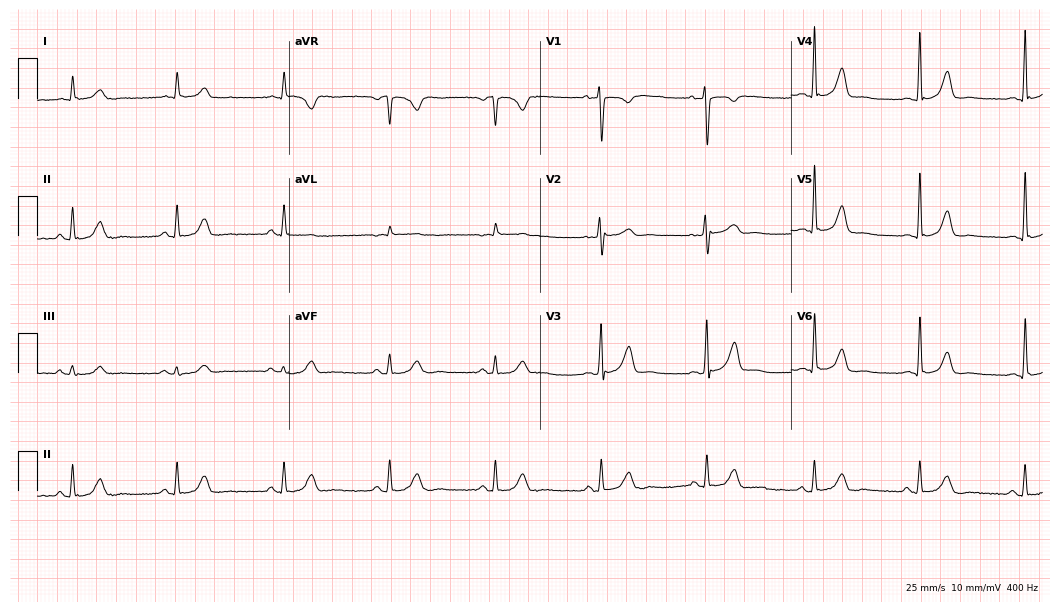
Resting 12-lead electrocardiogram (10.2-second recording at 400 Hz). Patient: a male, 60 years old. Read as a normal ECG.